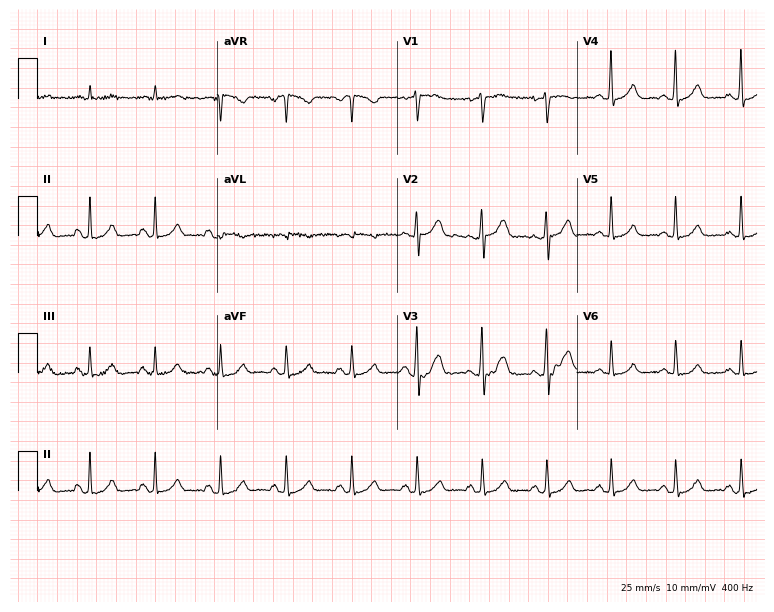
Standard 12-lead ECG recorded from a woman, 52 years old. Read as a normal ECG.